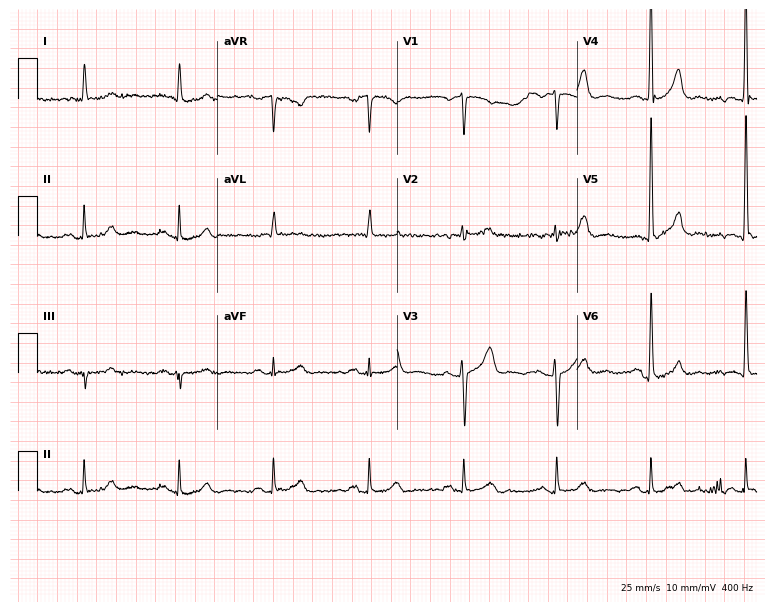
12-lead ECG from a male patient, 67 years old. Labelled as a normal ECG.